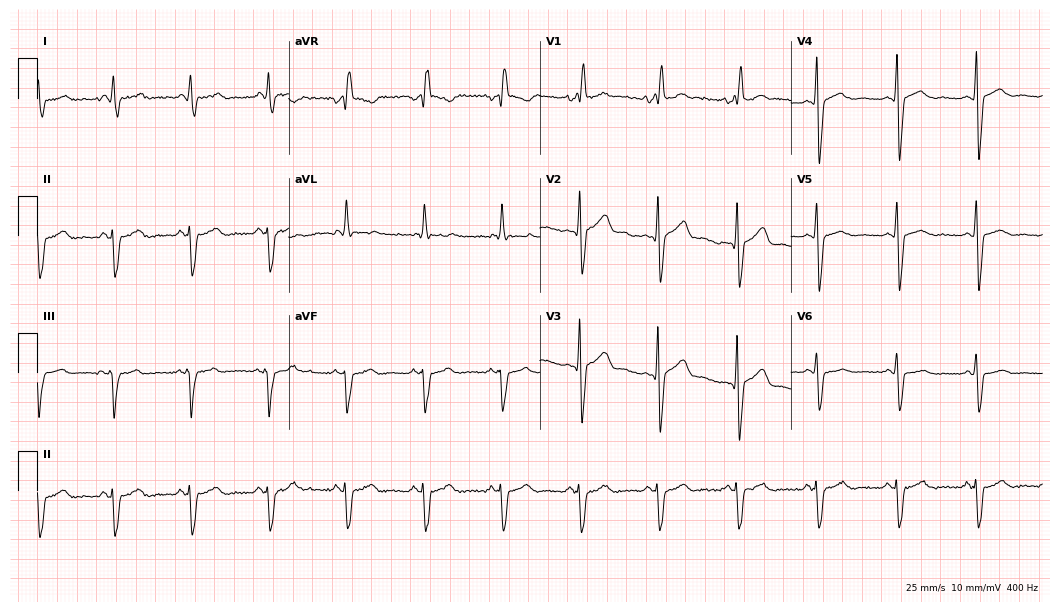
Resting 12-lead electrocardiogram (10.2-second recording at 400 Hz). Patient: a 62-year-old man. None of these six findings is recorded: first-degree AV block, right bundle branch block (RBBB), left bundle branch block (LBBB), sinus bradycardia, atrial fibrillation (AF), sinus tachycardia. Findings outside these six are not listed.